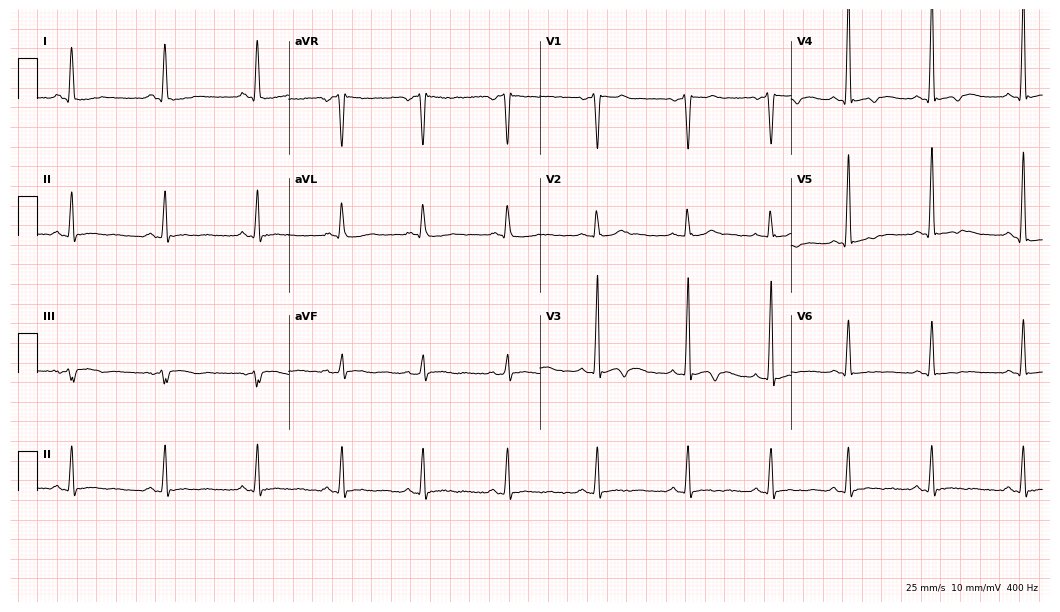
Standard 12-lead ECG recorded from a man, 23 years old (10.2-second recording at 400 Hz). None of these six findings is recorded: first-degree AV block, right bundle branch block, left bundle branch block, sinus bradycardia, atrial fibrillation, sinus tachycardia.